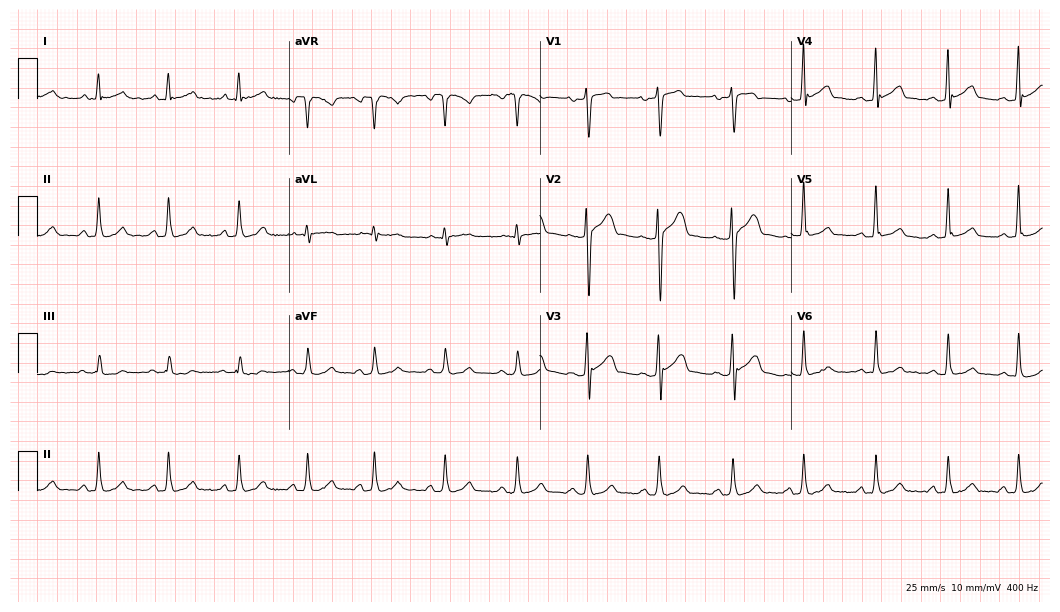
Resting 12-lead electrocardiogram. Patient: a man, 37 years old. Read as a normal ECG.